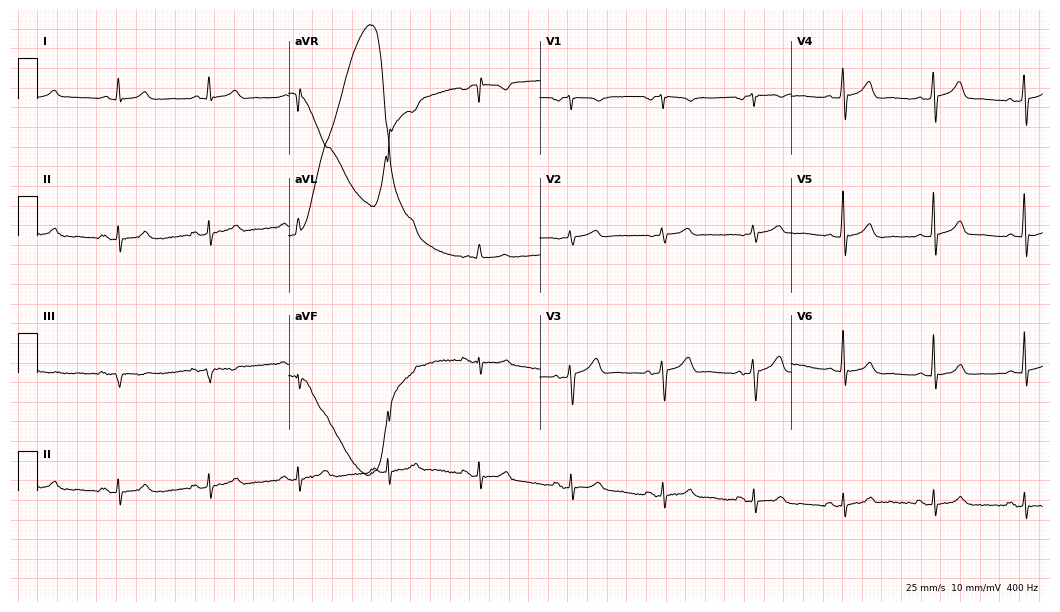
Standard 12-lead ECG recorded from a male, 55 years old. None of these six findings is recorded: first-degree AV block, right bundle branch block (RBBB), left bundle branch block (LBBB), sinus bradycardia, atrial fibrillation (AF), sinus tachycardia. Other findings, if any, are not listed.